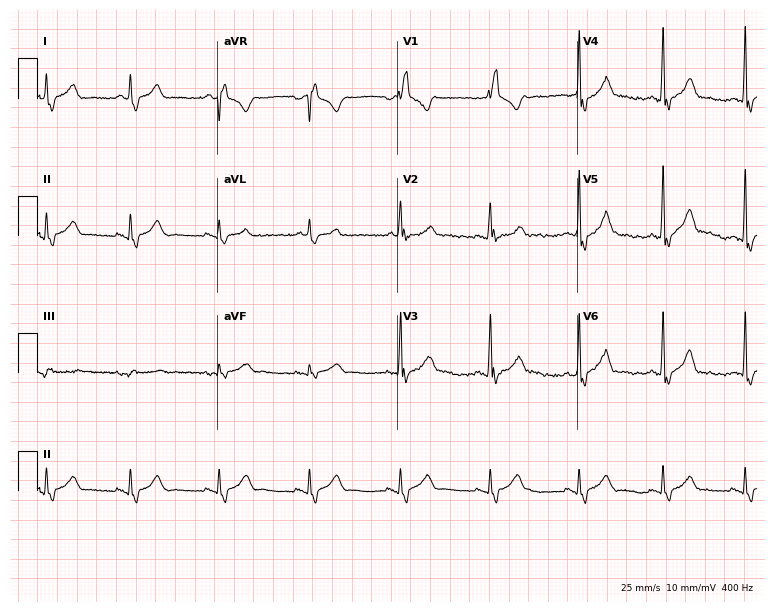
12-lead ECG from a 33-year-old male patient (7.3-second recording at 400 Hz). Shows right bundle branch block.